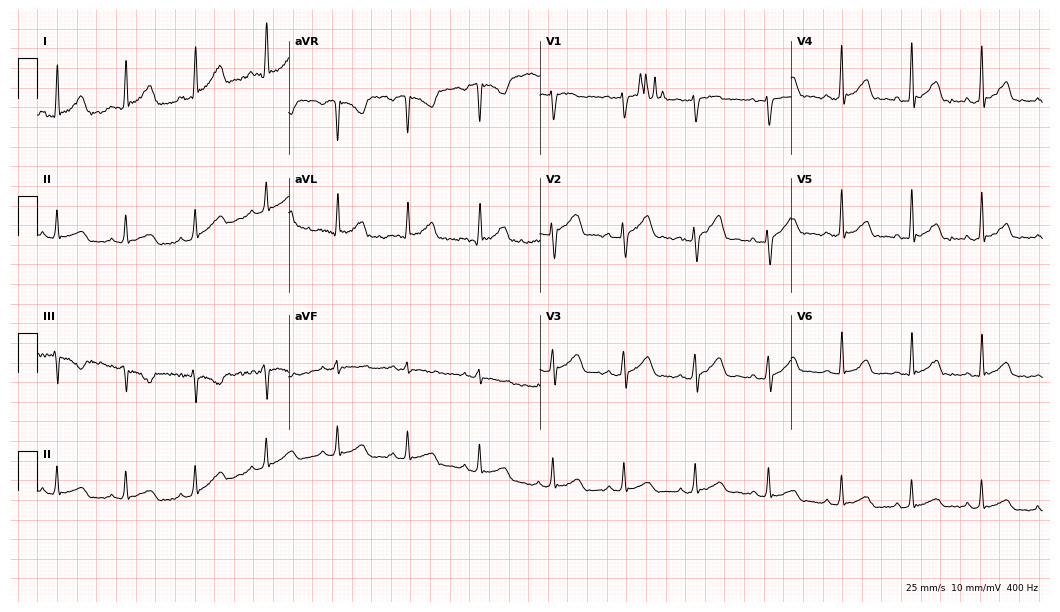
Standard 12-lead ECG recorded from a female, 34 years old. Read as a normal ECG.